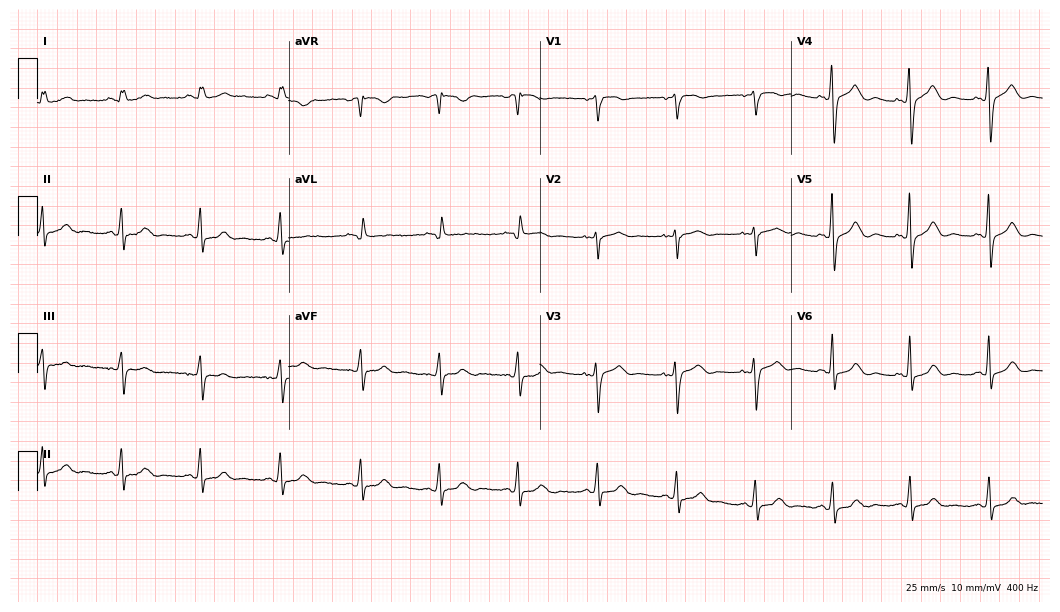
Resting 12-lead electrocardiogram (10.2-second recording at 400 Hz). Patient: a woman, 58 years old. Read as a normal ECG.